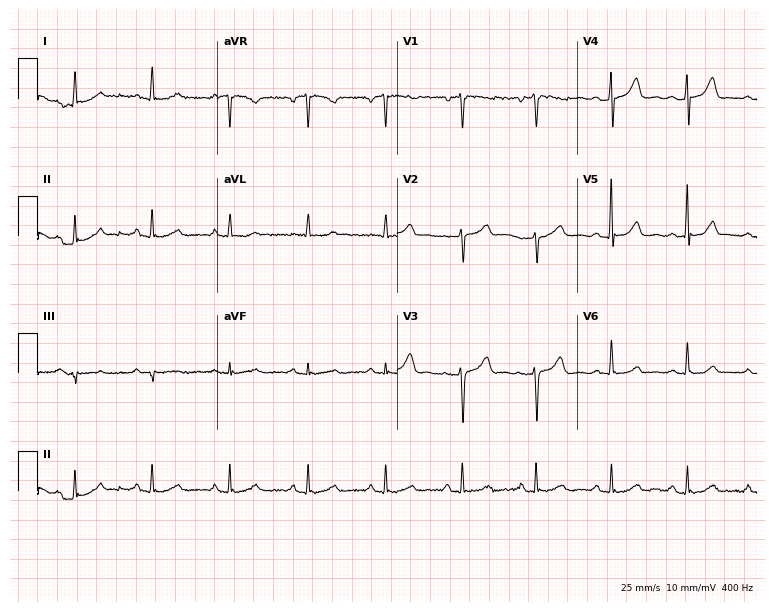
Electrocardiogram, a woman, 54 years old. Overall reading on record: normal ECG.